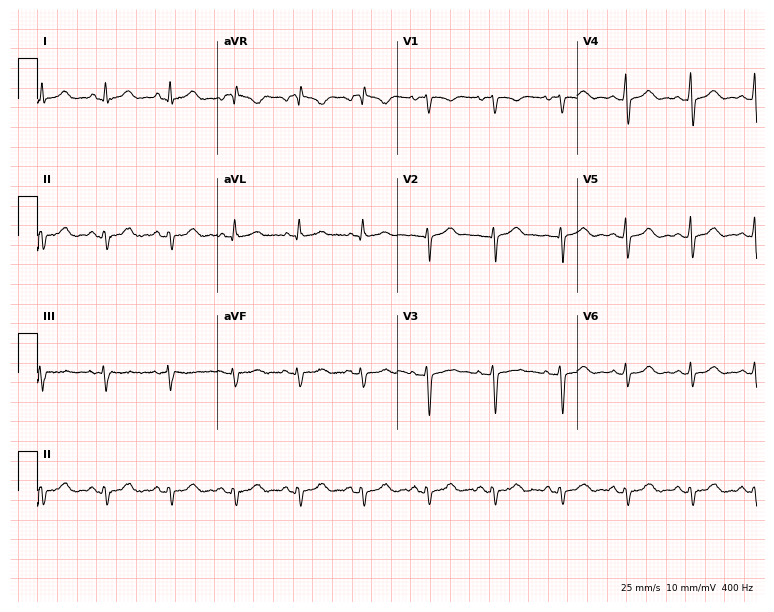
Electrocardiogram (7.3-second recording at 400 Hz), a woman, 48 years old. Of the six screened findings (first-degree AV block, right bundle branch block (RBBB), left bundle branch block (LBBB), sinus bradycardia, atrial fibrillation (AF), sinus tachycardia), none is recorded.